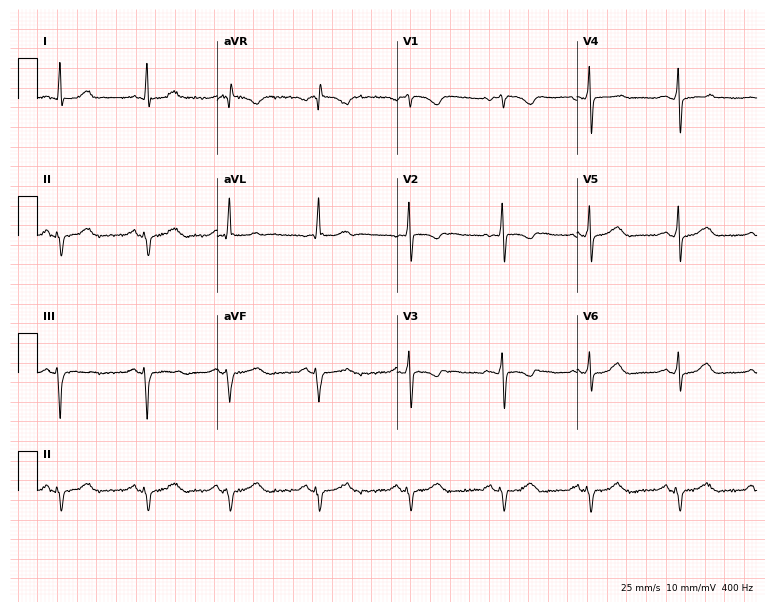
Resting 12-lead electrocardiogram. Patient: a 40-year-old woman. None of these six findings is recorded: first-degree AV block, right bundle branch block, left bundle branch block, sinus bradycardia, atrial fibrillation, sinus tachycardia. Only these six findings were labelled.